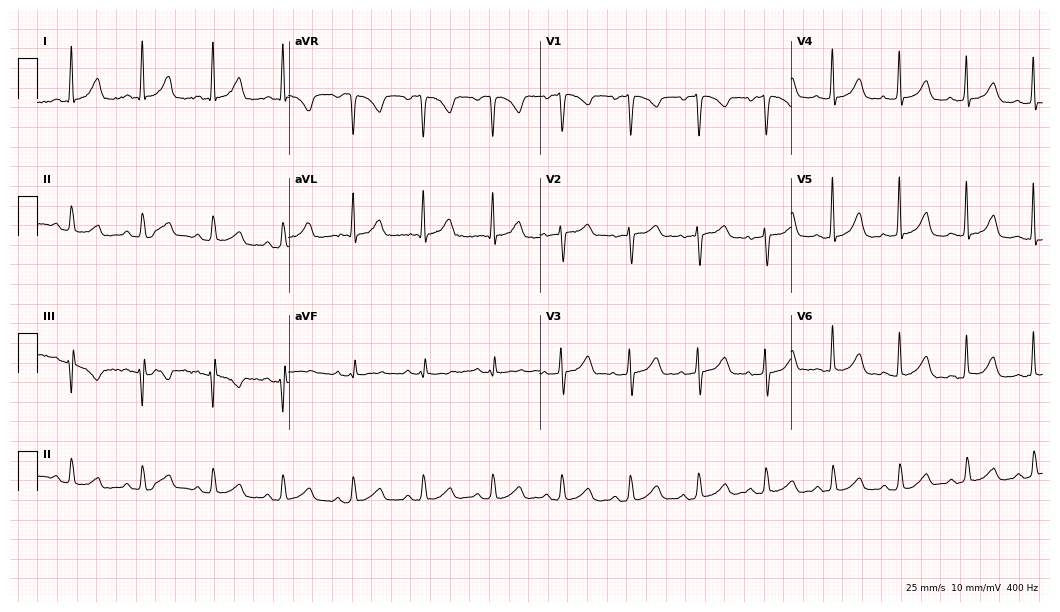
ECG (10.2-second recording at 400 Hz) — a female, 49 years old. Labelled as a normal ECG.